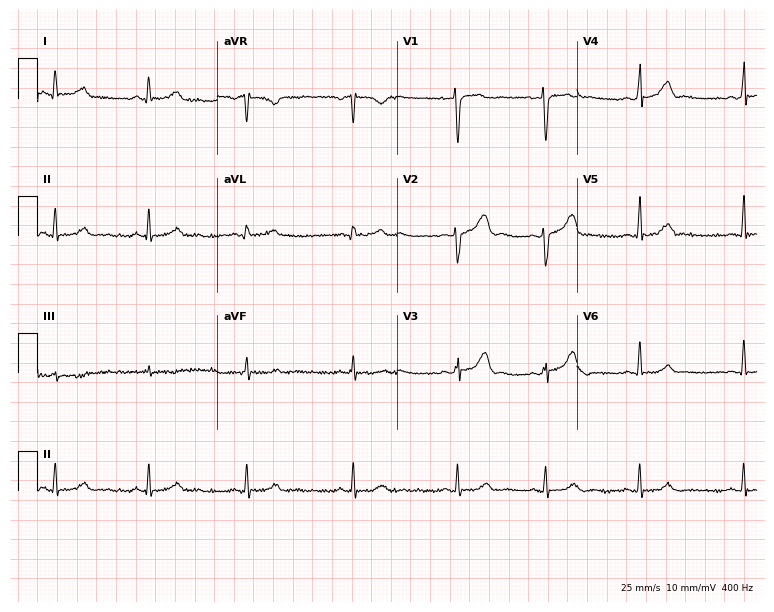
Electrocardiogram (7.3-second recording at 400 Hz), a 20-year-old female. Overall reading on record: normal ECG.